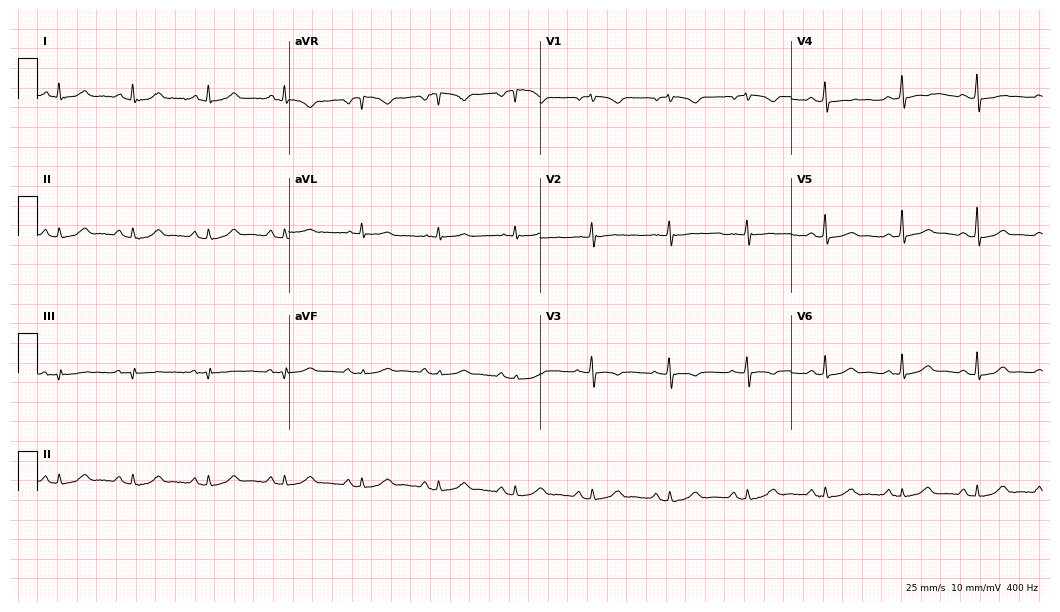
12-lead ECG from a 61-year-old female patient. No first-degree AV block, right bundle branch block (RBBB), left bundle branch block (LBBB), sinus bradycardia, atrial fibrillation (AF) or sinus tachycardia recorded for this tracing. Findings outside these six are not listed.